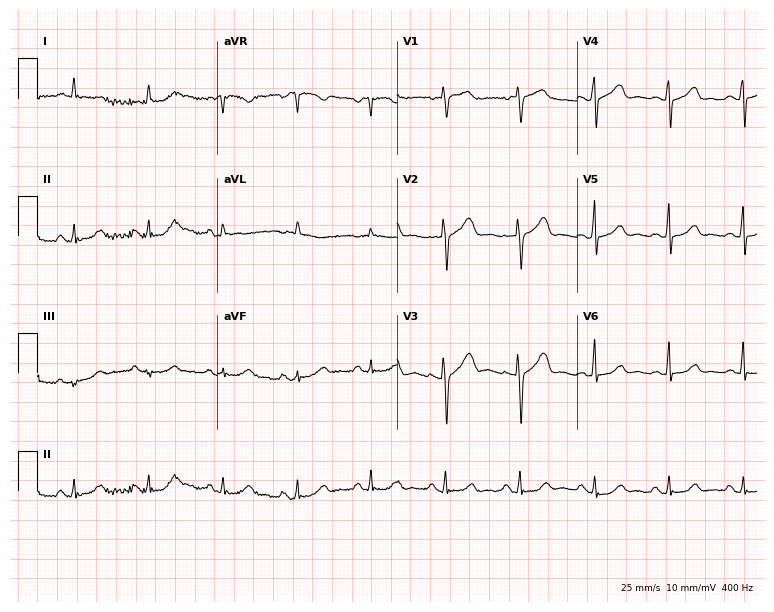
Electrocardiogram (7.3-second recording at 400 Hz), a female patient, 70 years old. Of the six screened findings (first-degree AV block, right bundle branch block (RBBB), left bundle branch block (LBBB), sinus bradycardia, atrial fibrillation (AF), sinus tachycardia), none is recorded.